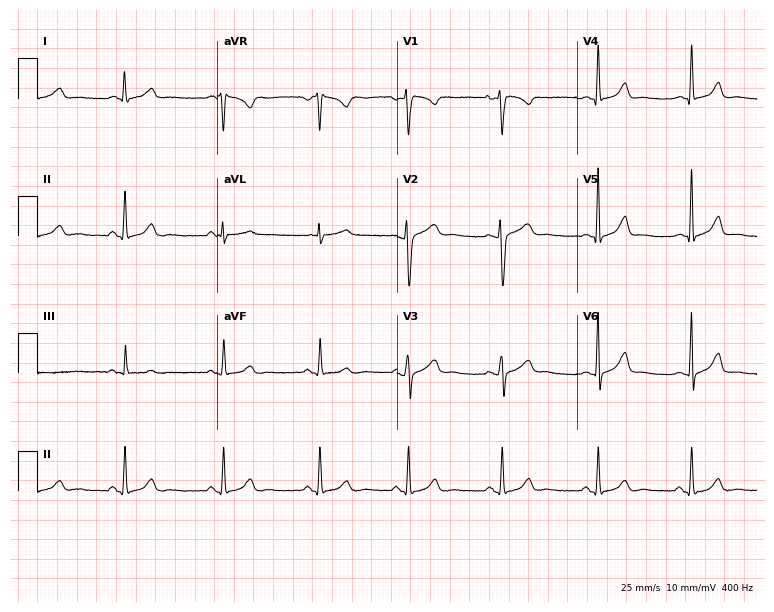
Resting 12-lead electrocardiogram. Patient: a 24-year-old woman. None of these six findings is recorded: first-degree AV block, right bundle branch block (RBBB), left bundle branch block (LBBB), sinus bradycardia, atrial fibrillation (AF), sinus tachycardia. Other findings, if any, are not listed.